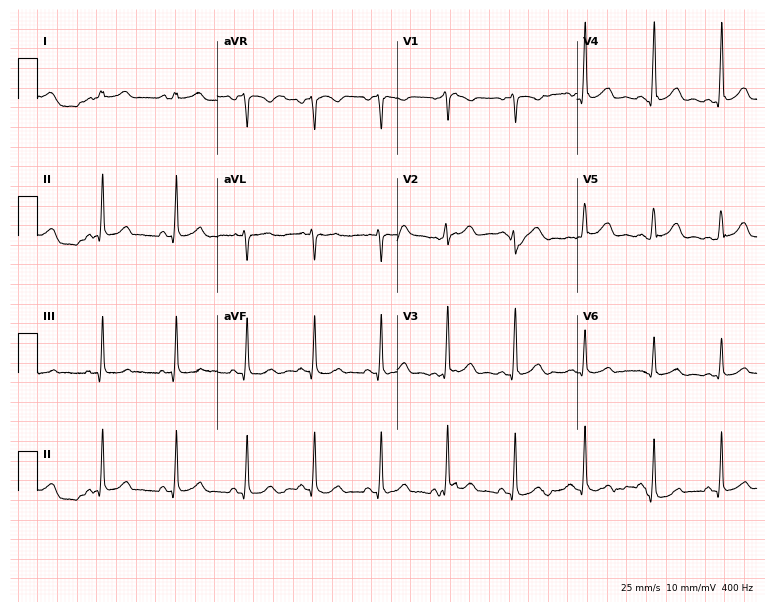
Electrocardiogram (7.3-second recording at 400 Hz), a 28-year-old female. Overall reading on record: normal ECG.